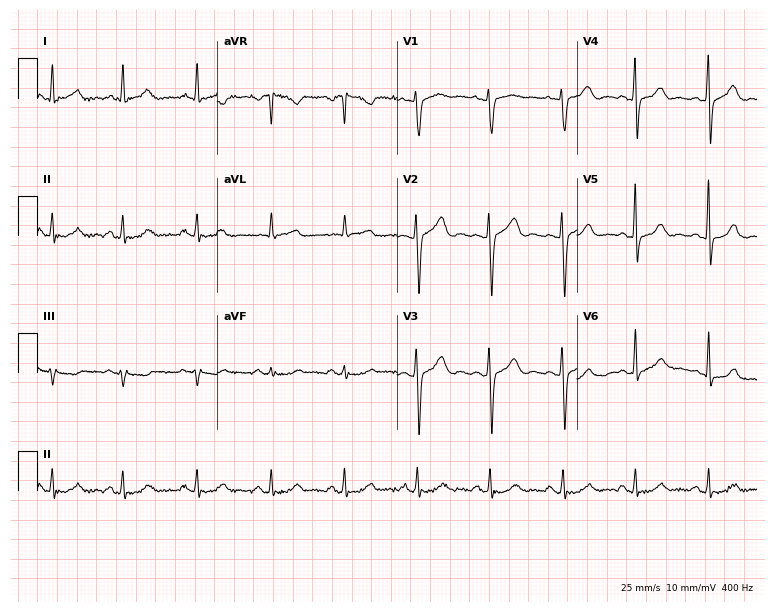
12-lead ECG (7.3-second recording at 400 Hz) from a woman, 39 years old. Screened for six findings — first-degree AV block, right bundle branch block, left bundle branch block, sinus bradycardia, atrial fibrillation, sinus tachycardia — none is recorded. Only these six findings were labelled.